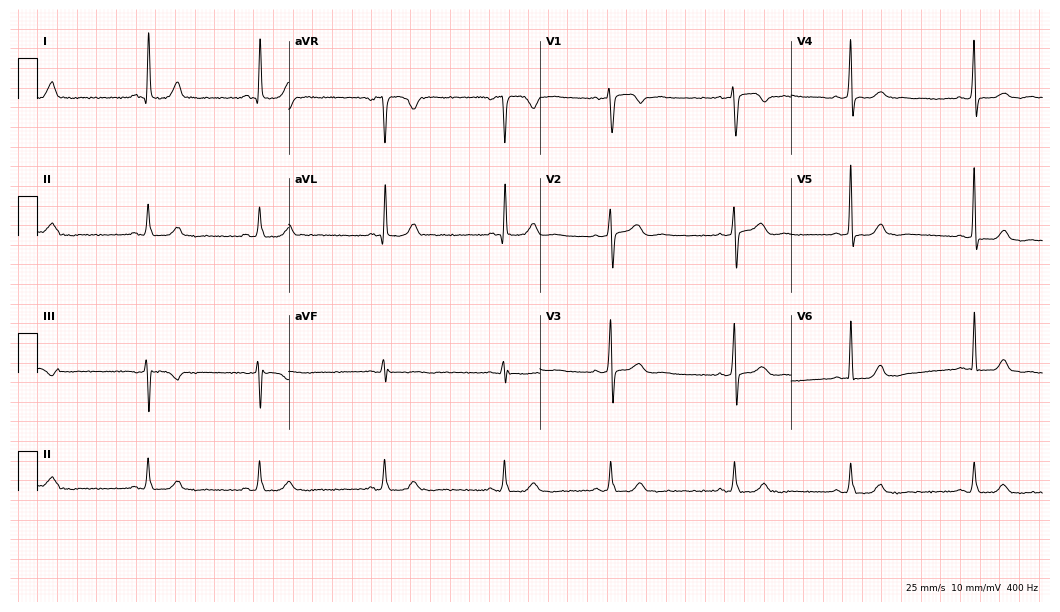
ECG — a female patient, 67 years old. Labelled as a normal ECG.